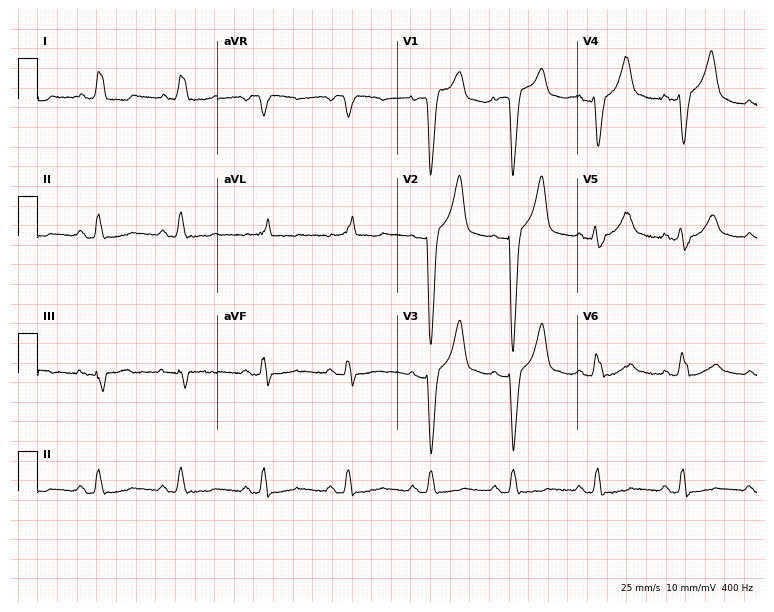
Resting 12-lead electrocardiogram (7.3-second recording at 400 Hz). Patient: an 81-year-old male. The tracing shows left bundle branch block (LBBB).